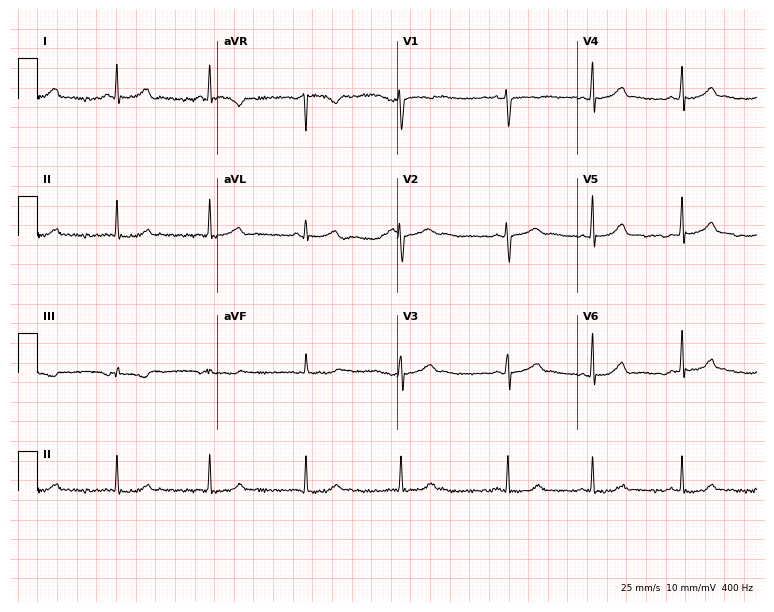
12-lead ECG from a 24-year-old female. Recorded interpretation: within normal limits.